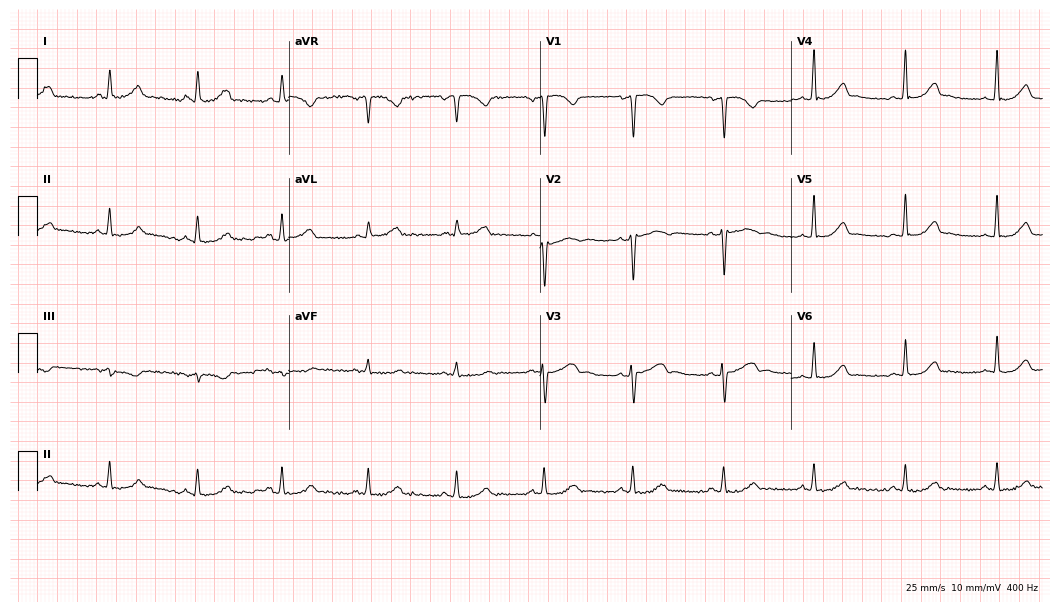
12-lead ECG from a female, 34 years old (10.2-second recording at 400 Hz). No first-degree AV block, right bundle branch block, left bundle branch block, sinus bradycardia, atrial fibrillation or sinus tachycardia recorded for this tracing.